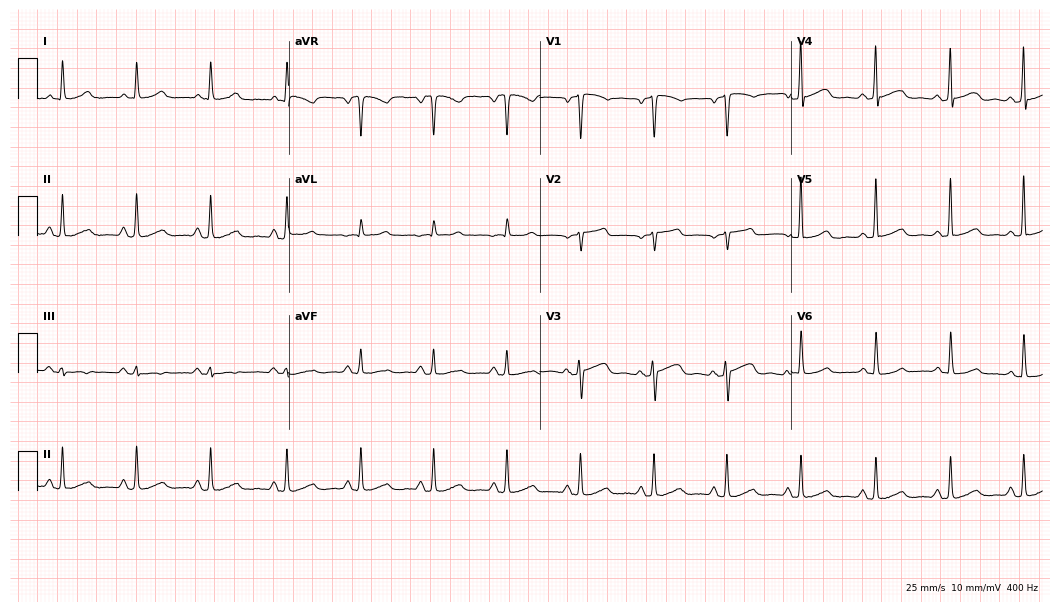
12-lead ECG (10.2-second recording at 400 Hz) from a female patient, 57 years old. Labelled as a normal ECG.